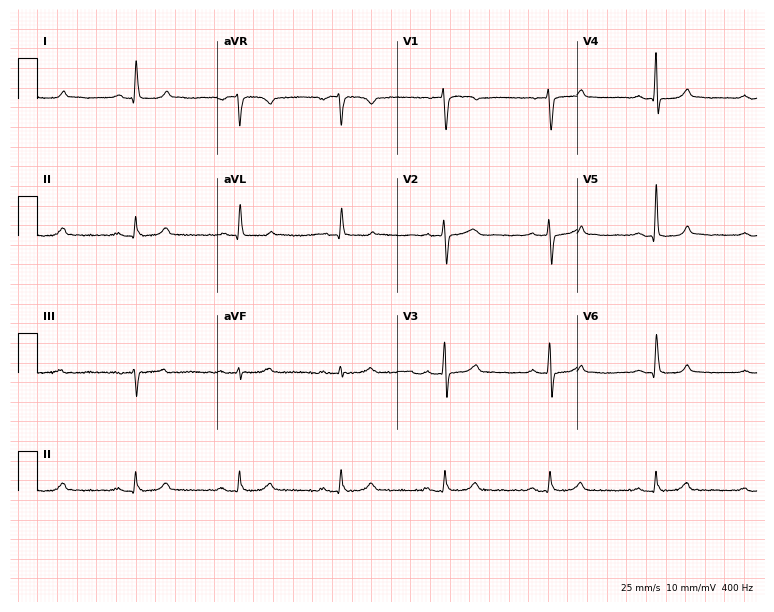
12-lead ECG from a male, 77 years old. Screened for six findings — first-degree AV block, right bundle branch block, left bundle branch block, sinus bradycardia, atrial fibrillation, sinus tachycardia — none is recorded. Other findings, if any, are not listed.